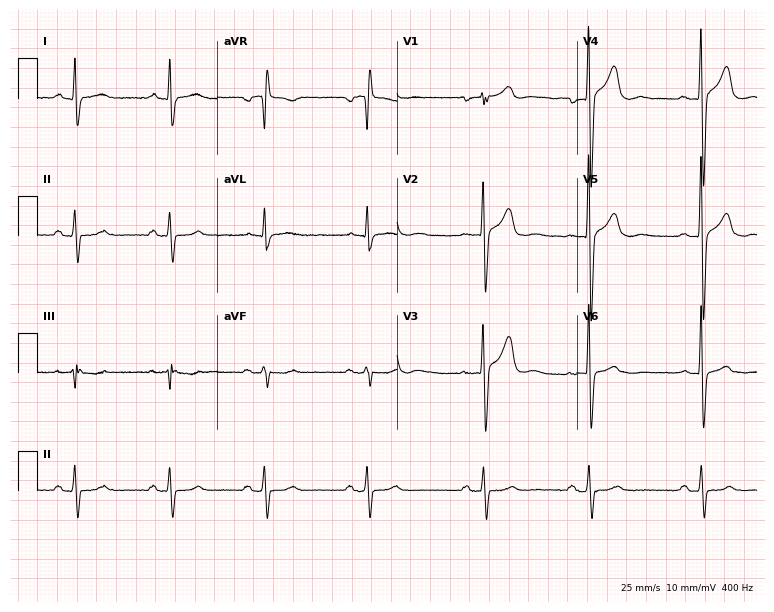
Resting 12-lead electrocardiogram (7.3-second recording at 400 Hz). Patient: a man, 41 years old. None of these six findings is recorded: first-degree AV block, right bundle branch block, left bundle branch block, sinus bradycardia, atrial fibrillation, sinus tachycardia.